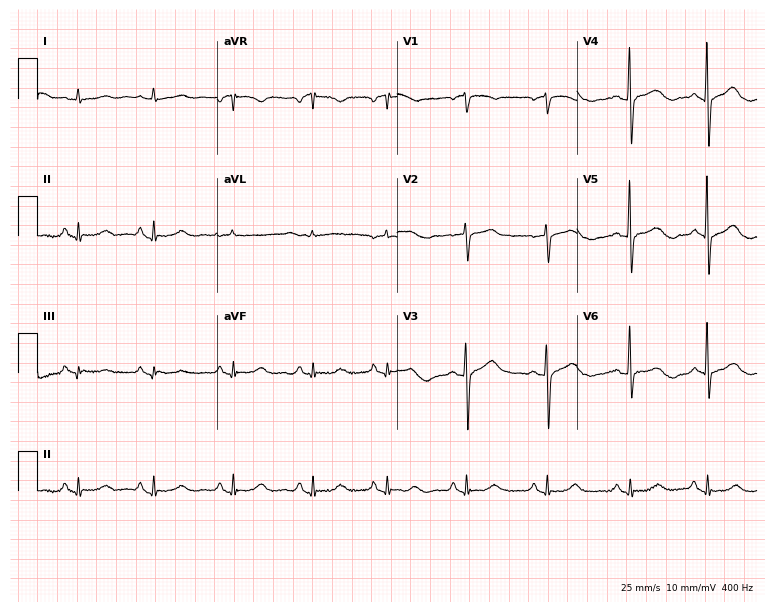
ECG — a female, 65 years old. Labelled as a normal ECG.